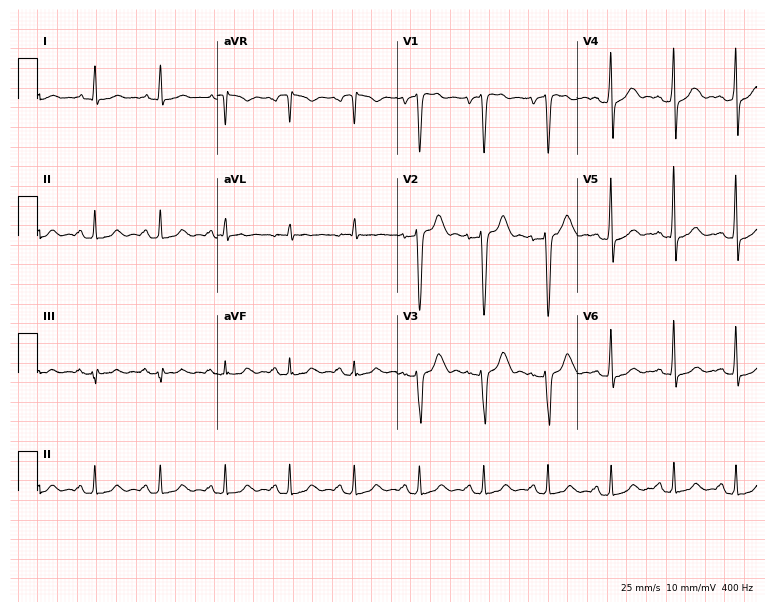
Standard 12-lead ECG recorded from a 44-year-old male patient. None of these six findings is recorded: first-degree AV block, right bundle branch block, left bundle branch block, sinus bradycardia, atrial fibrillation, sinus tachycardia. Only these six findings were labelled.